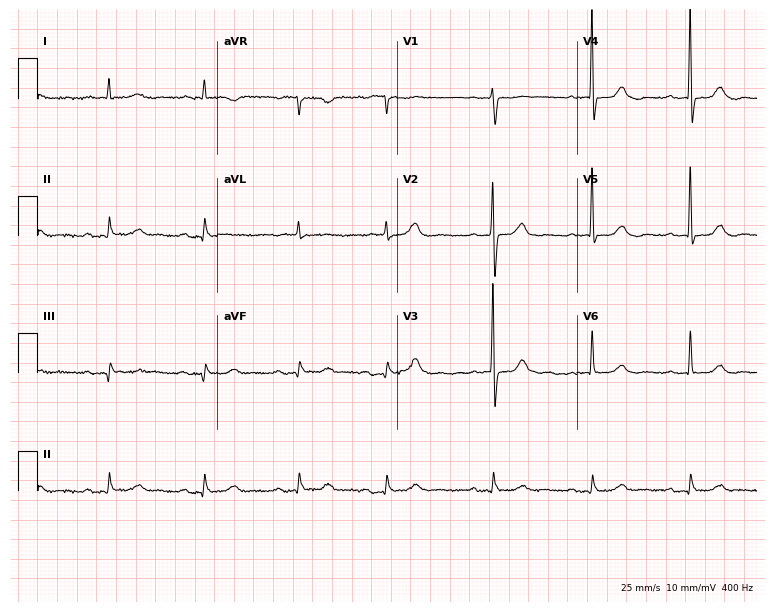
12-lead ECG from an 81-year-old male (7.3-second recording at 400 Hz). Recorded interpretation: within normal limits.